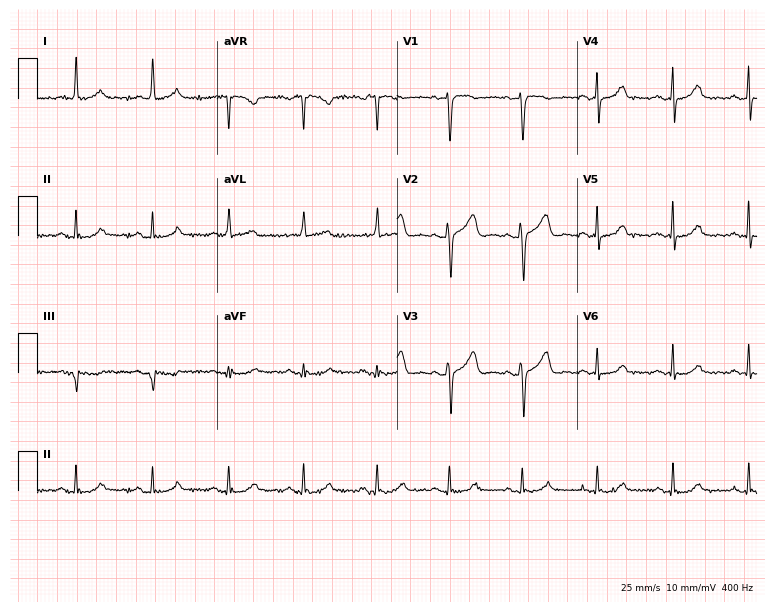
Resting 12-lead electrocardiogram. Patient: an 81-year-old female. Read as a normal ECG.